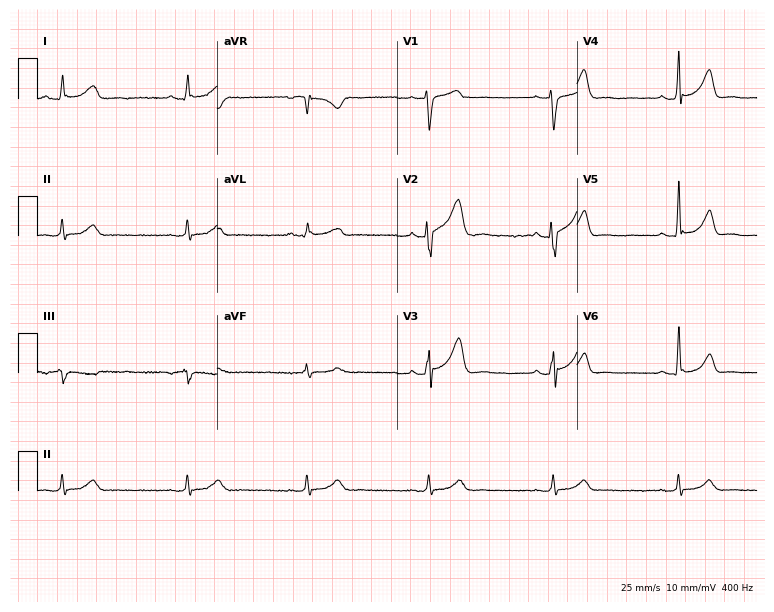
12-lead ECG from a 49-year-old man (7.3-second recording at 400 Hz). No first-degree AV block, right bundle branch block (RBBB), left bundle branch block (LBBB), sinus bradycardia, atrial fibrillation (AF) or sinus tachycardia recorded for this tracing.